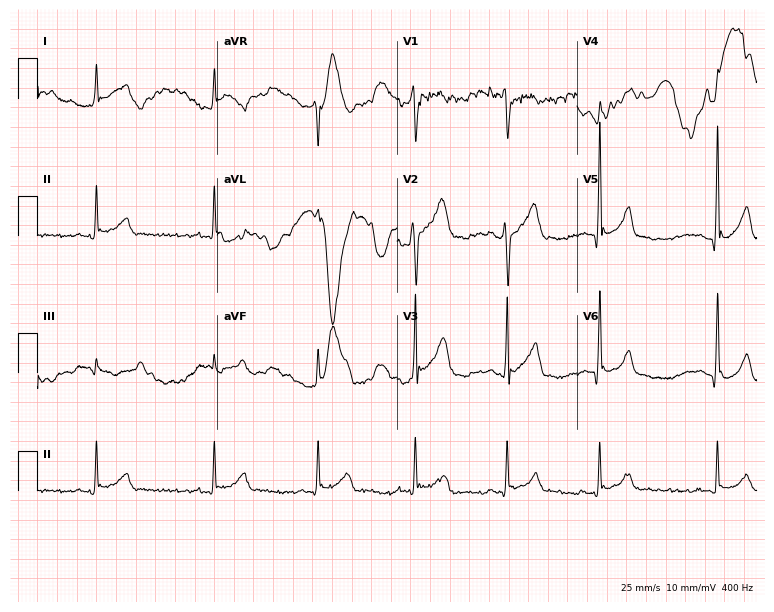
12-lead ECG from a 22-year-old male patient. No first-degree AV block, right bundle branch block (RBBB), left bundle branch block (LBBB), sinus bradycardia, atrial fibrillation (AF) or sinus tachycardia recorded for this tracing. Findings outside these six are not listed.